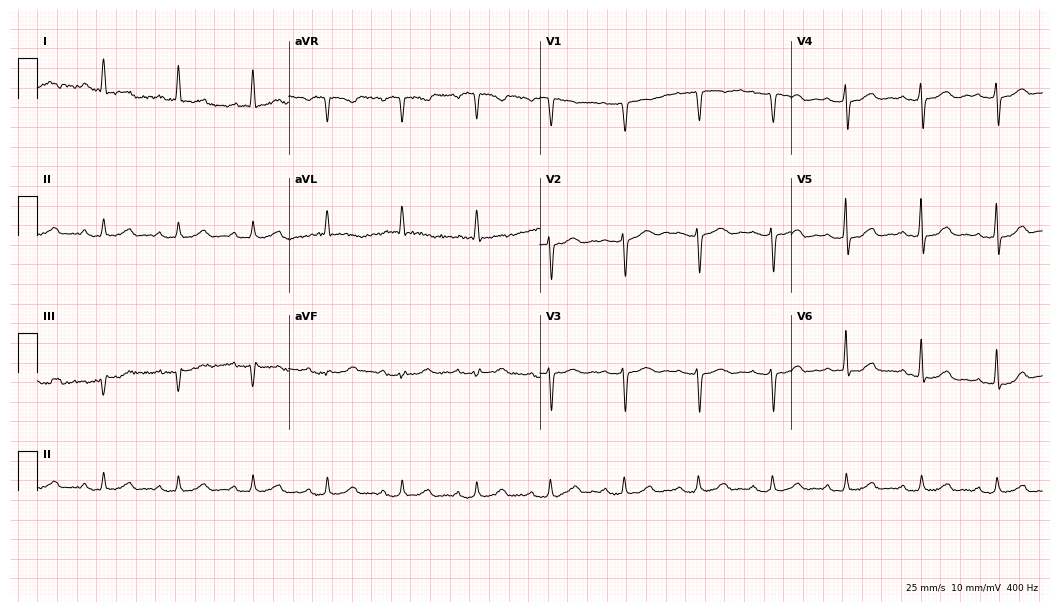
12-lead ECG from a woman, 73 years old (10.2-second recording at 400 Hz). Shows first-degree AV block.